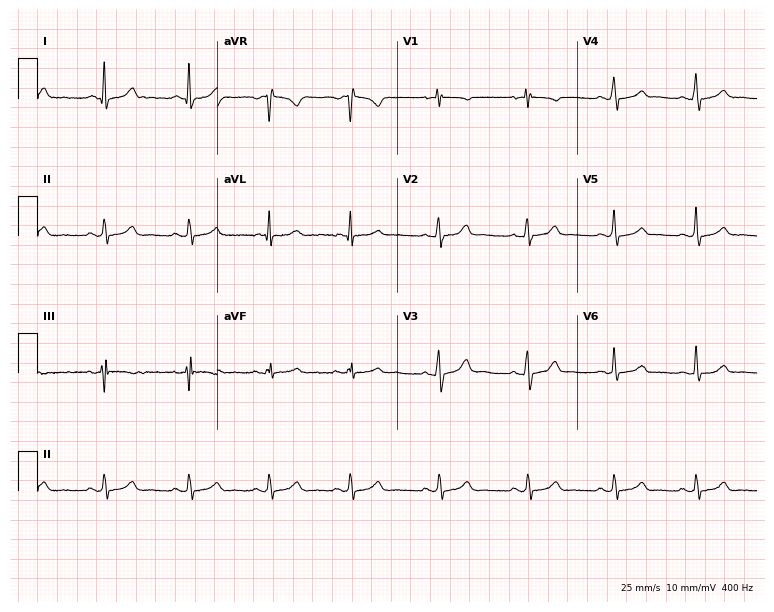
Electrocardiogram (7.3-second recording at 400 Hz), a 29-year-old female. Overall reading on record: normal ECG.